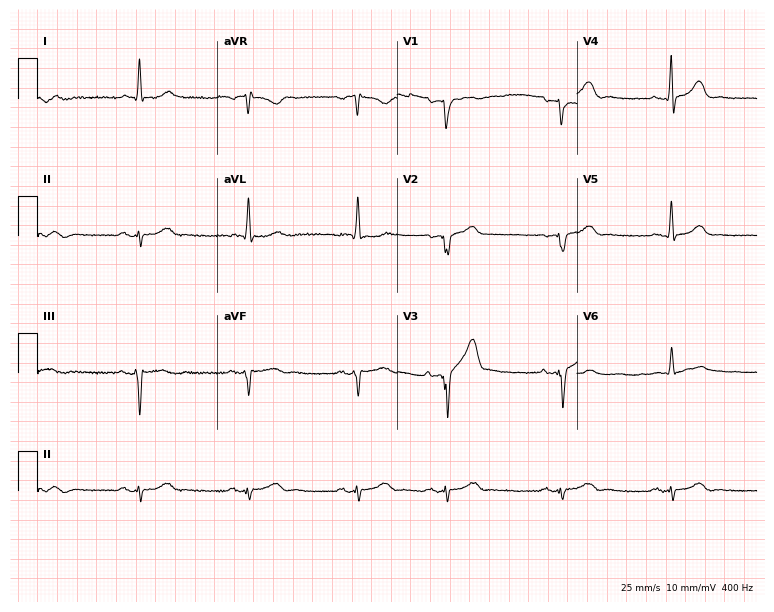
12-lead ECG from a female patient, 81 years old (7.3-second recording at 400 Hz). No first-degree AV block, right bundle branch block, left bundle branch block, sinus bradycardia, atrial fibrillation or sinus tachycardia recorded for this tracing. Only these six findings were labelled.